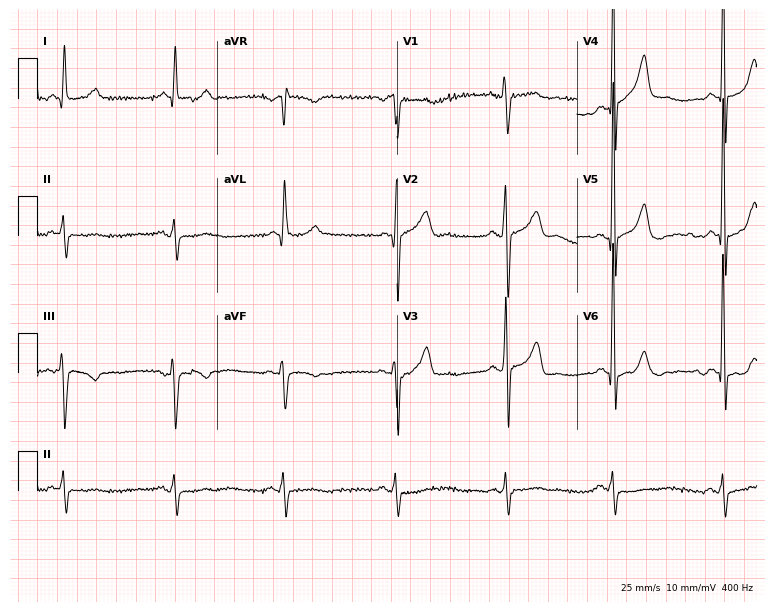
ECG (7.3-second recording at 400 Hz) — a man, 66 years old. Screened for six findings — first-degree AV block, right bundle branch block, left bundle branch block, sinus bradycardia, atrial fibrillation, sinus tachycardia — none is recorded. Findings outside these six are not listed.